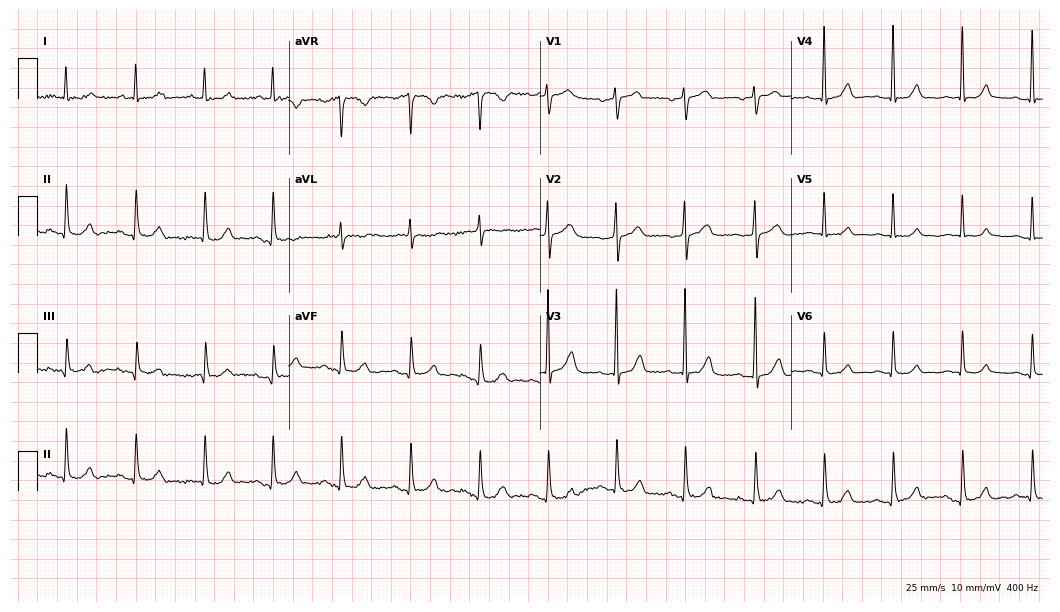
Electrocardiogram (10.2-second recording at 400 Hz), a 76-year-old woman. Overall reading on record: normal ECG.